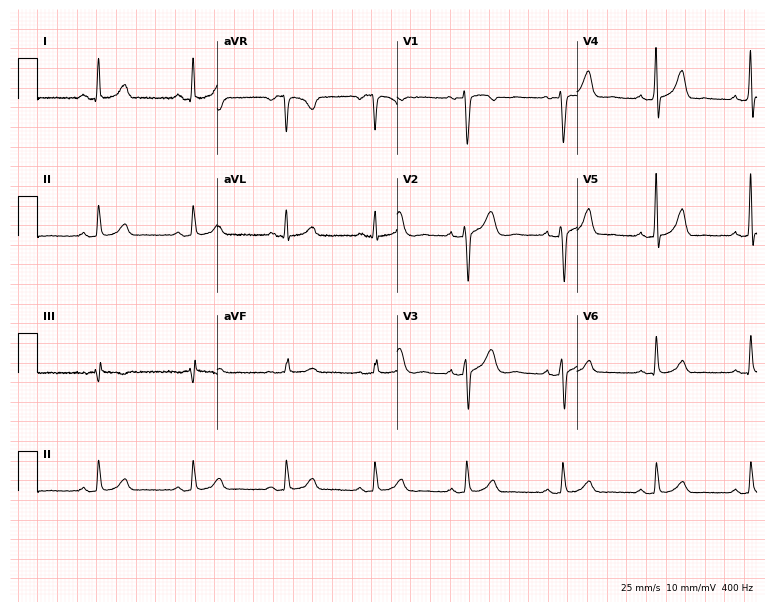
ECG — a female patient, 38 years old. Labelled as a normal ECG.